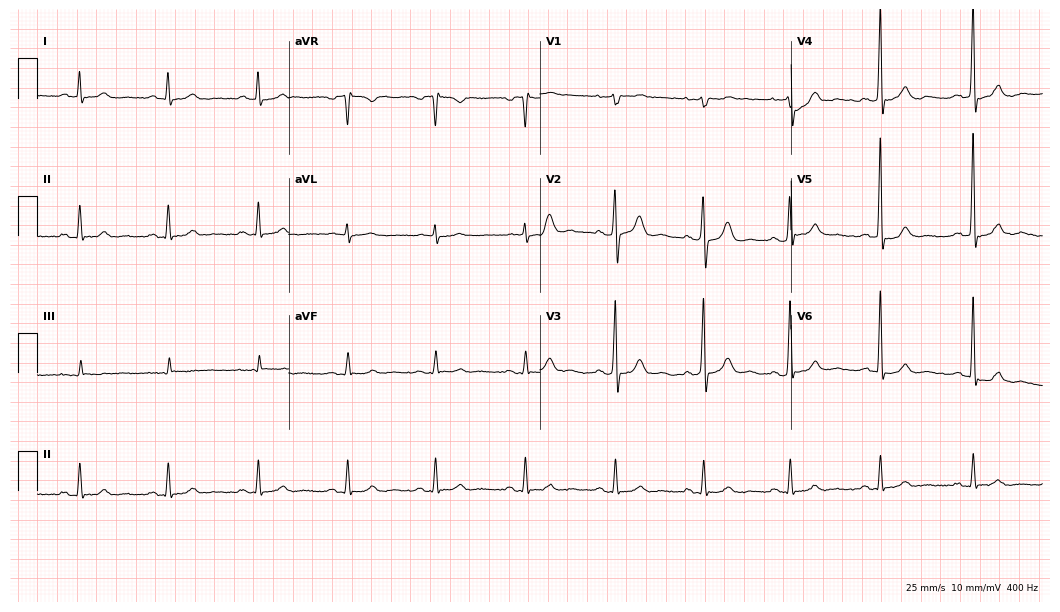
Resting 12-lead electrocardiogram (10.2-second recording at 400 Hz). Patient: a man, 57 years old. Read as a normal ECG.